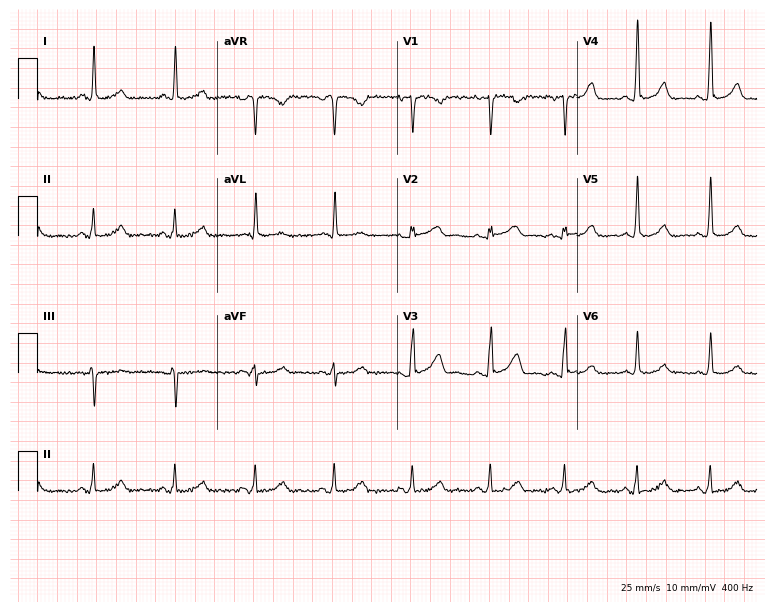
Electrocardiogram (7.3-second recording at 400 Hz), a 46-year-old female. Of the six screened findings (first-degree AV block, right bundle branch block, left bundle branch block, sinus bradycardia, atrial fibrillation, sinus tachycardia), none is recorded.